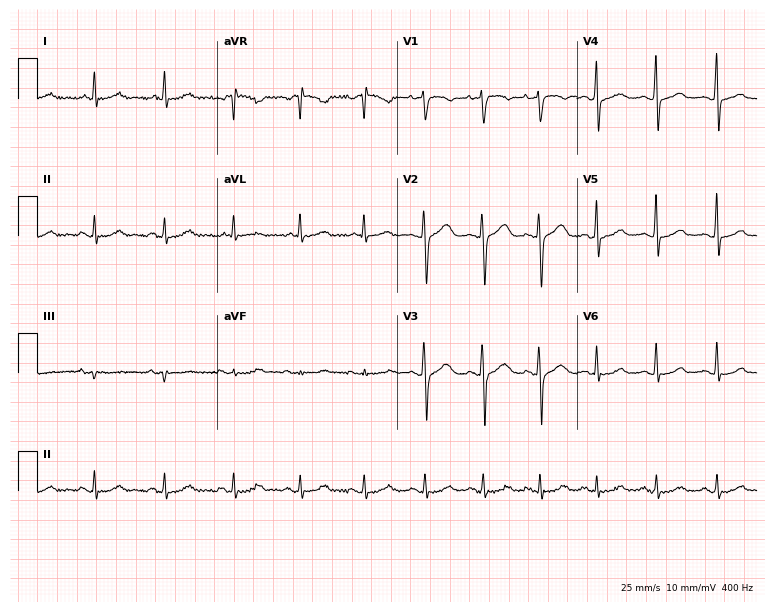
Standard 12-lead ECG recorded from a 55-year-old female (7.3-second recording at 400 Hz). Read as a normal ECG.